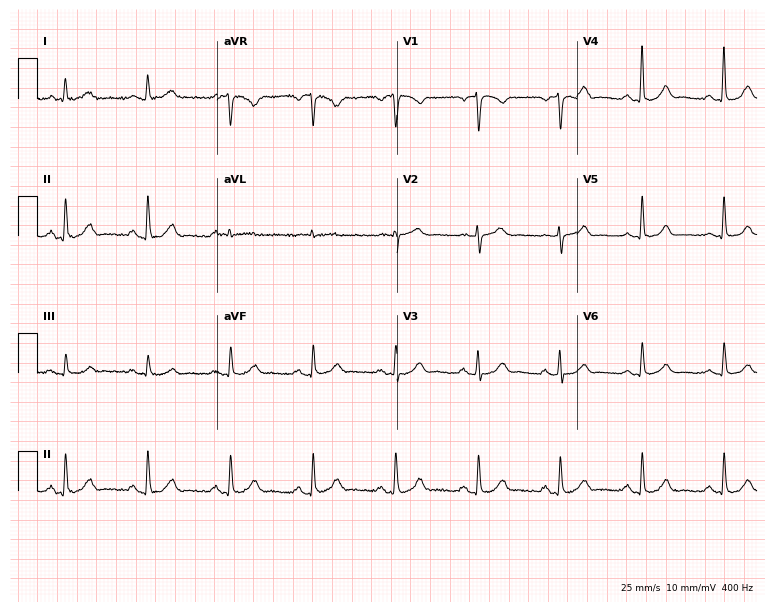
Resting 12-lead electrocardiogram (7.3-second recording at 400 Hz). Patient: a male, 85 years old. Read as a normal ECG.